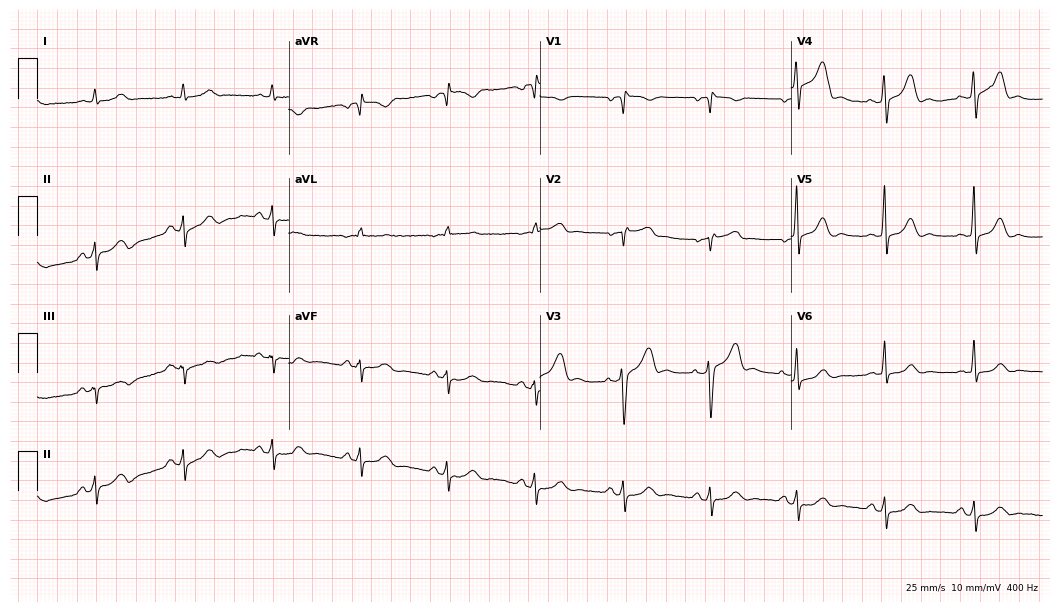
Resting 12-lead electrocardiogram. Patient: a man, 72 years old. None of these six findings is recorded: first-degree AV block, right bundle branch block, left bundle branch block, sinus bradycardia, atrial fibrillation, sinus tachycardia. Other findings, if any, are not listed.